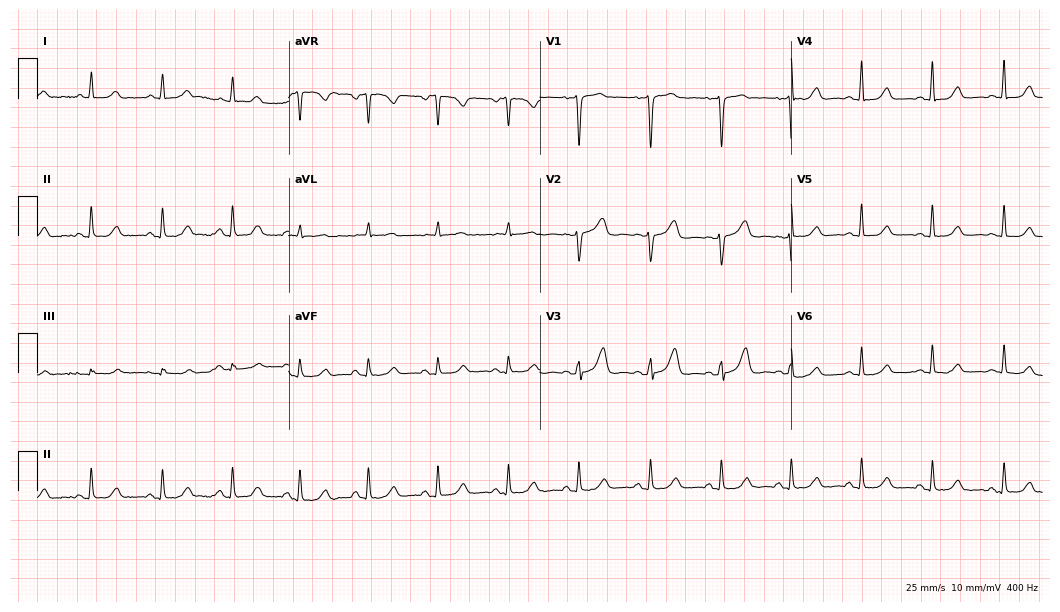
Resting 12-lead electrocardiogram. Patient: a female, 53 years old. Read as a normal ECG.